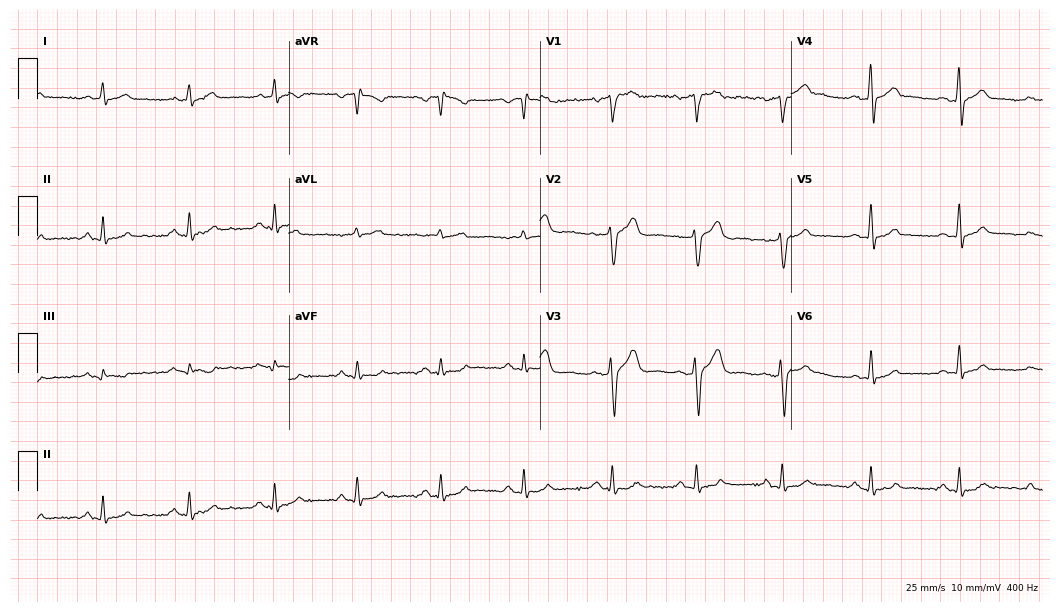
12-lead ECG from a 57-year-old man (10.2-second recording at 400 Hz). Recorded interpretation: within normal limits.